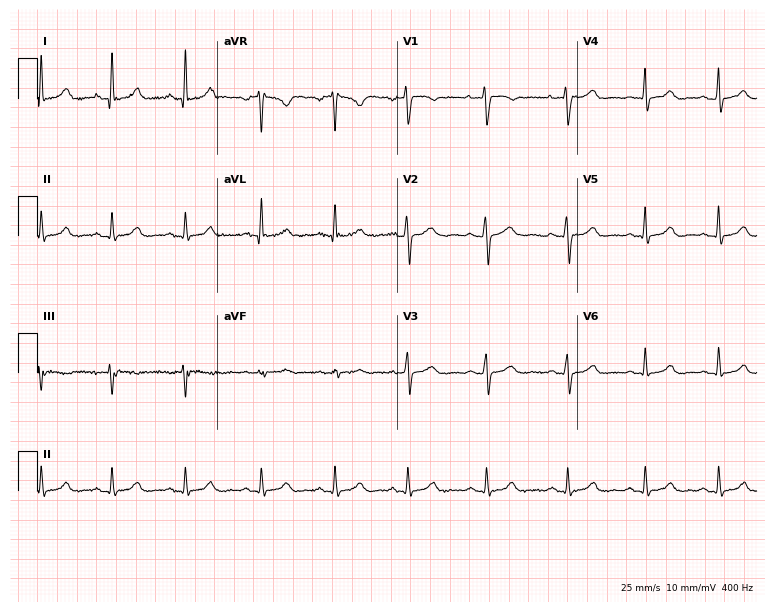
Electrocardiogram (7.3-second recording at 400 Hz), a female patient, 33 years old. Overall reading on record: normal ECG.